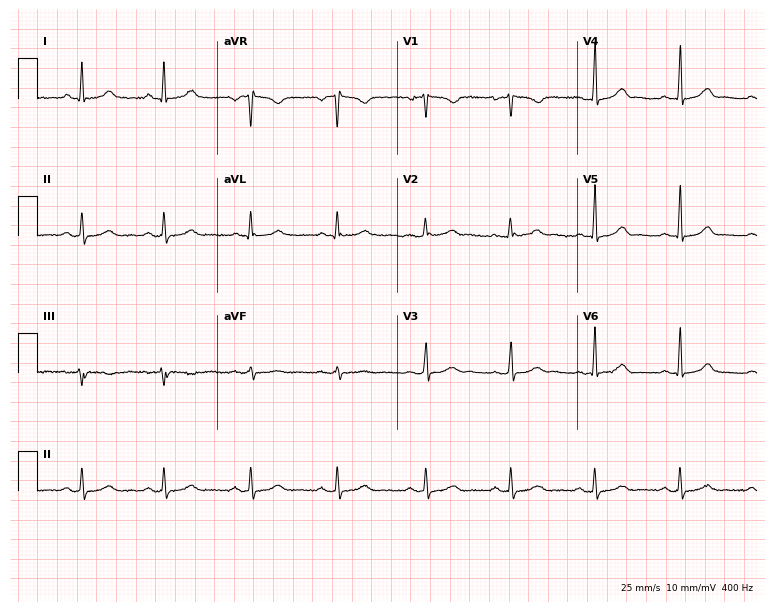
Resting 12-lead electrocardiogram (7.3-second recording at 400 Hz). Patient: a 22-year-old female. Read as a normal ECG.